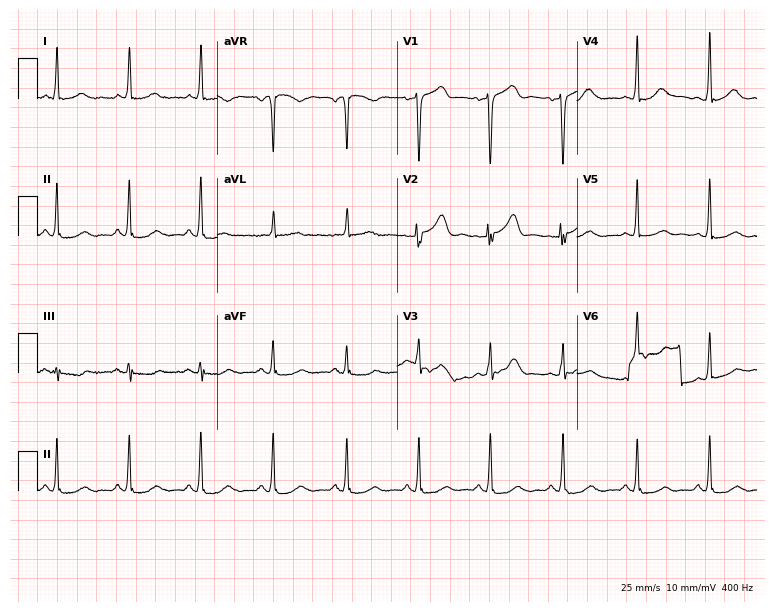
Resting 12-lead electrocardiogram (7.3-second recording at 400 Hz). Patient: a woman, 76 years old. None of these six findings is recorded: first-degree AV block, right bundle branch block (RBBB), left bundle branch block (LBBB), sinus bradycardia, atrial fibrillation (AF), sinus tachycardia. Other findings, if any, are not listed.